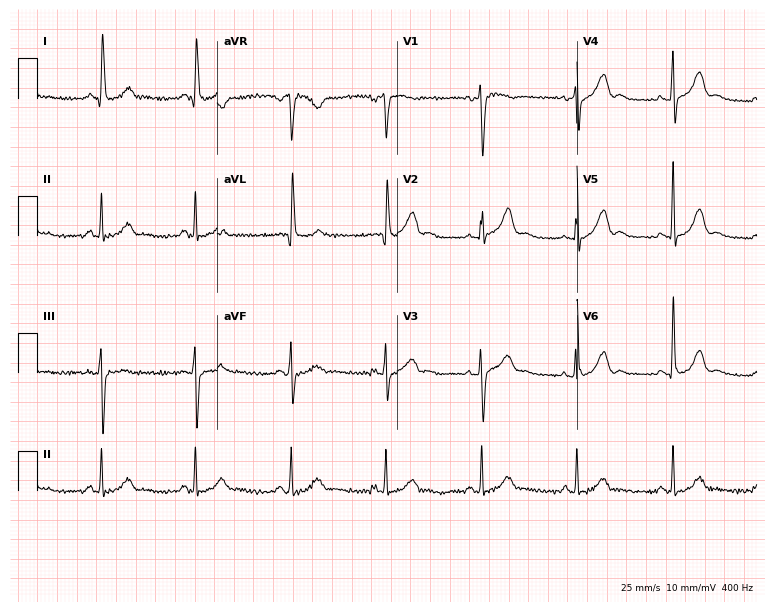
Standard 12-lead ECG recorded from a 63-year-old female patient. Read as a normal ECG.